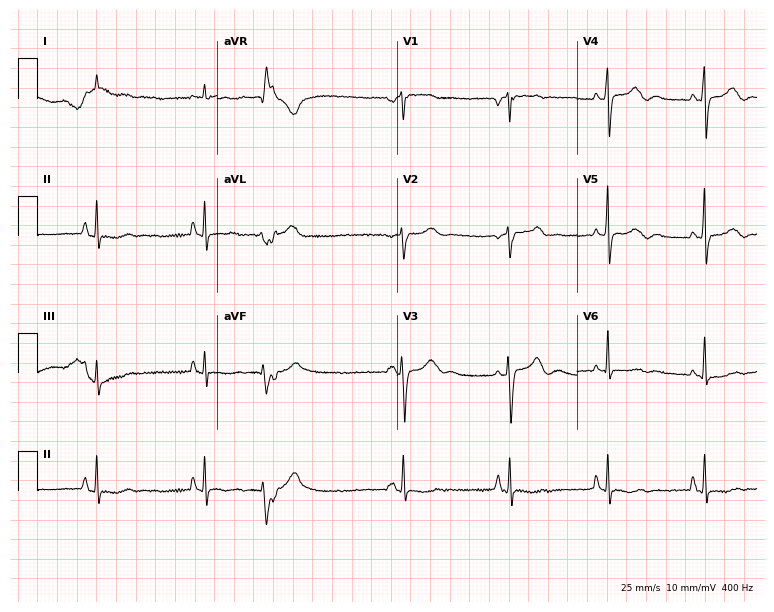
Electrocardiogram, a 72-year-old male patient. Of the six screened findings (first-degree AV block, right bundle branch block, left bundle branch block, sinus bradycardia, atrial fibrillation, sinus tachycardia), none is recorded.